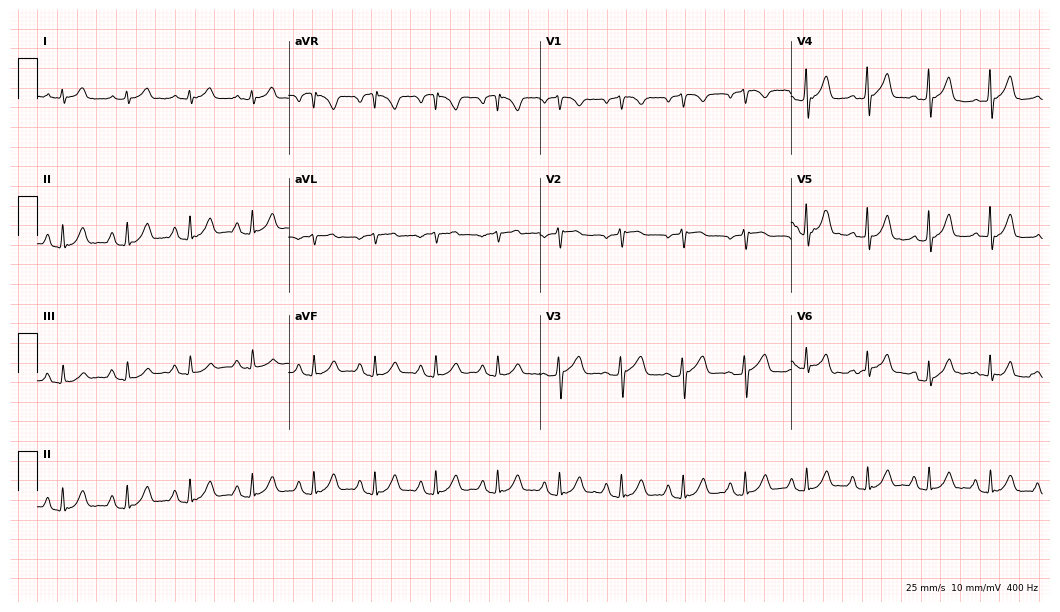
Resting 12-lead electrocardiogram. Patient: a man, 61 years old. Read as a normal ECG.